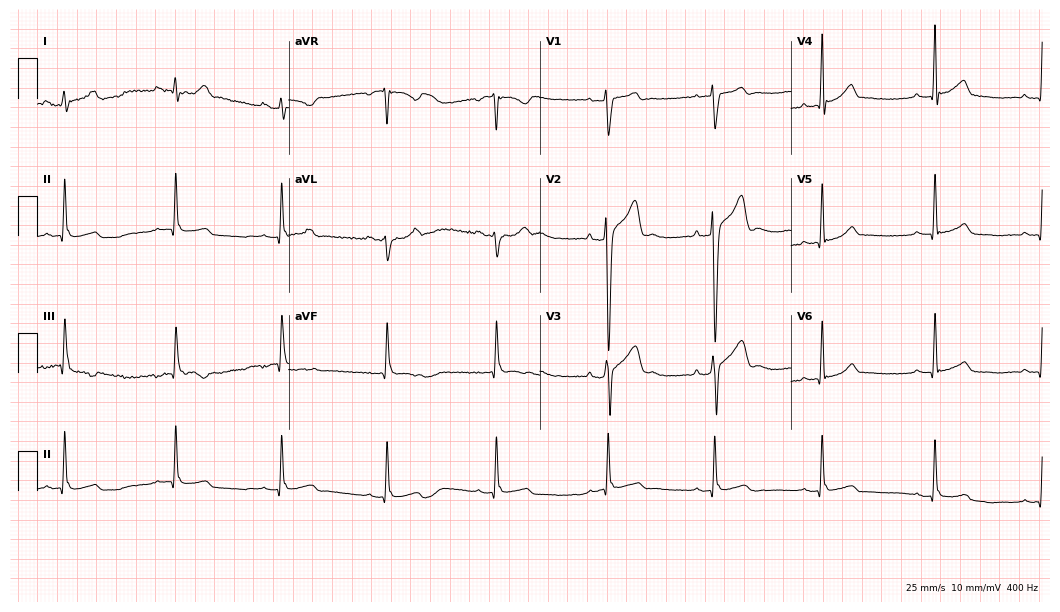
12-lead ECG from a 30-year-old male patient. Recorded interpretation: within normal limits.